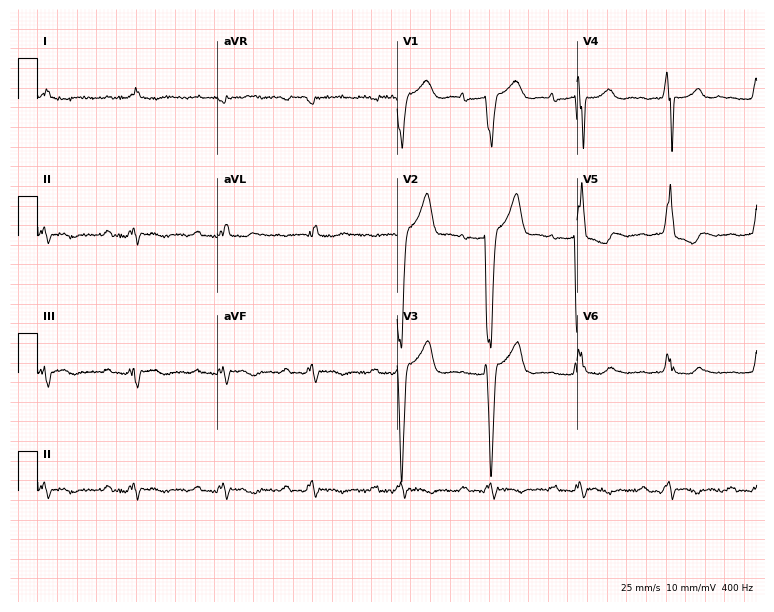
12-lead ECG from an 80-year-old female. Shows first-degree AV block, left bundle branch block.